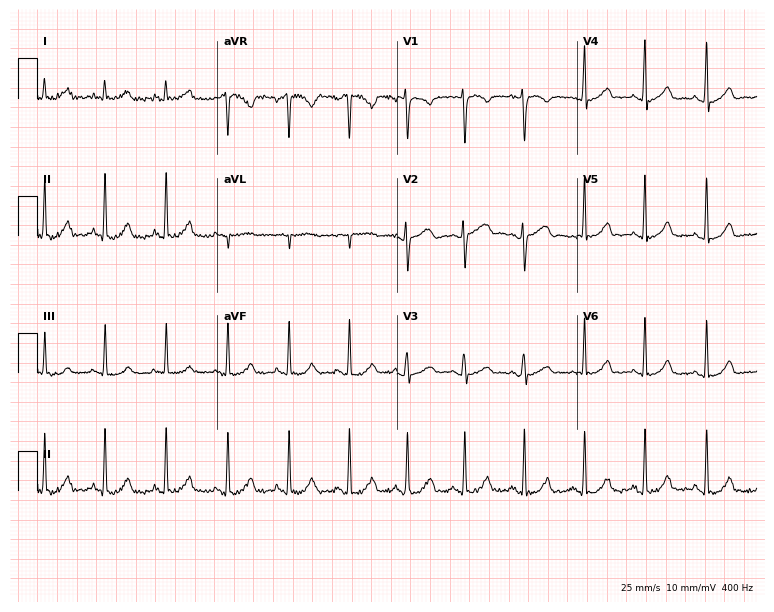
Resting 12-lead electrocardiogram (7.3-second recording at 400 Hz). Patient: a female, 28 years old. None of these six findings is recorded: first-degree AV block, right bundle branch block, left bundle branch block, sinus bradycardia, atrial fibrillation, sinus tachycardia.